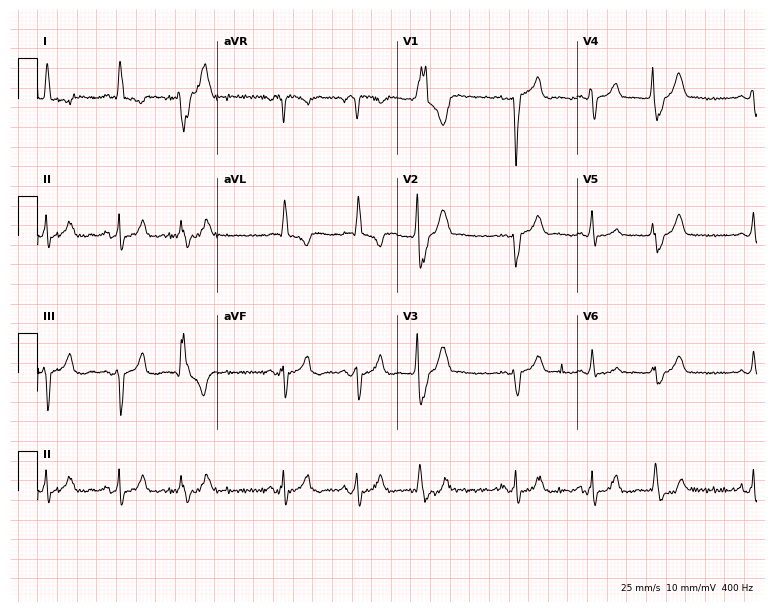
12-lead ECG (7.3-second recording at 400 Hz) from a male patient, 70 years old. Screened for six findings — first-degree AV block, right bundle branch block, left bundle branch block, sinus bradycardia, atrial fibrillation, sinus tachycardia — none is recorded.